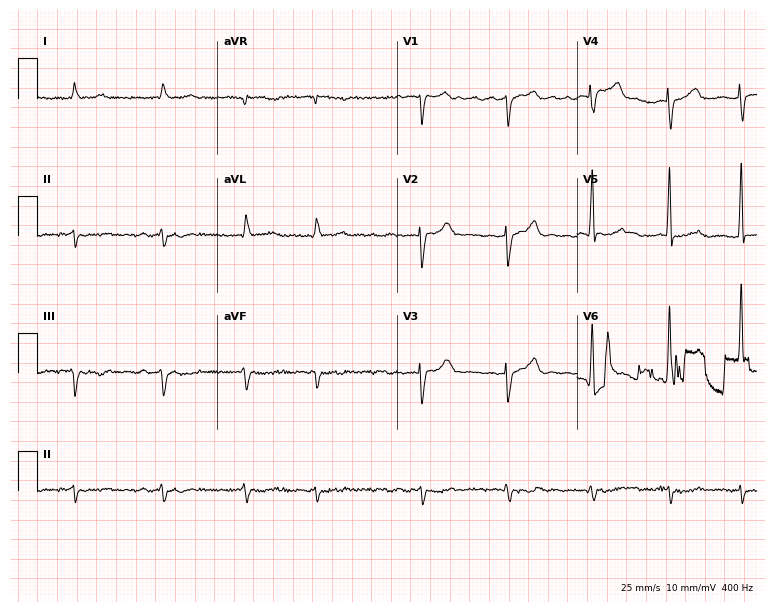
Resting 12-lead electrocardiogram. Patient: a 76-year-old female. The tracing shows atrial fibrillation.